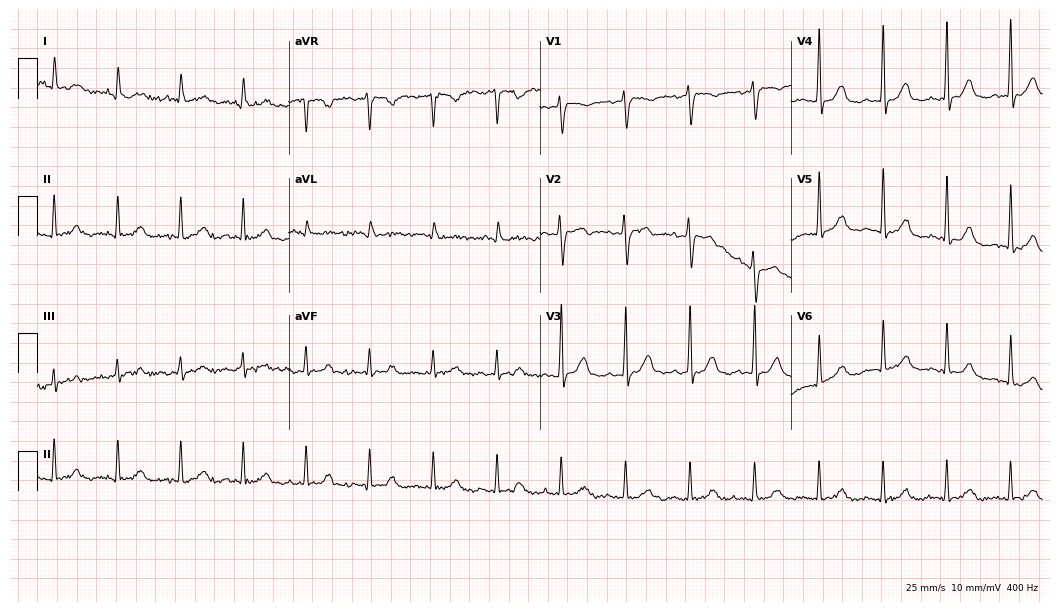
Resting 12-lead electrocardiogram (10.2-second recording at 400 Hz). Patient: a woman, 75 years old. None of these six findings is recorded: first-degree AV block, right bundle branch block, left bundle branch block, sinus bradycardia, atrial fibrillation, sinus tachycardia.